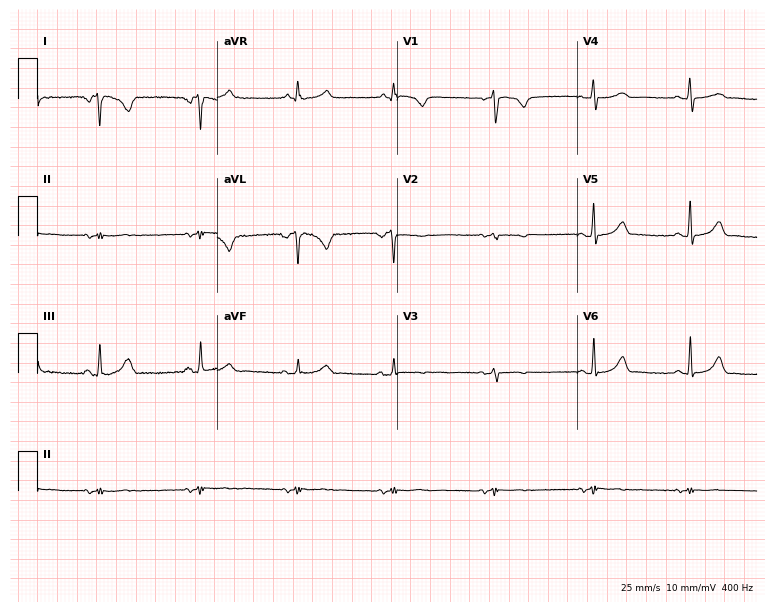
Resting 12-lead electrocardiogram (7.3-second recording at 400 Hz). Patient: a 20-year-old woman. Read as a normal ECG.